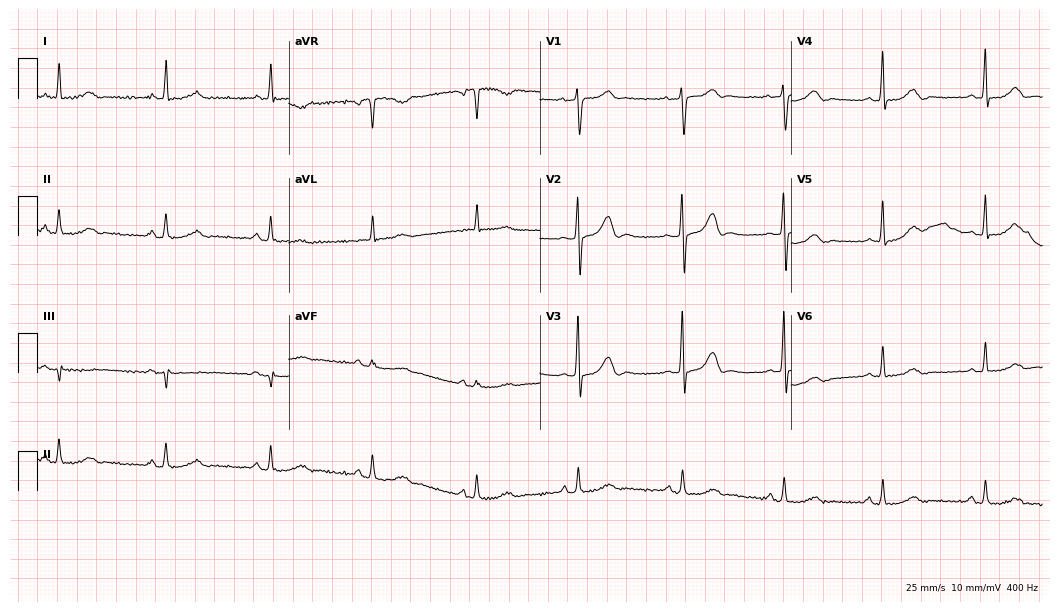
Resting 12-lead electrocardiogram. Patient: a woman, 71 years old. Read as a normal ECG.